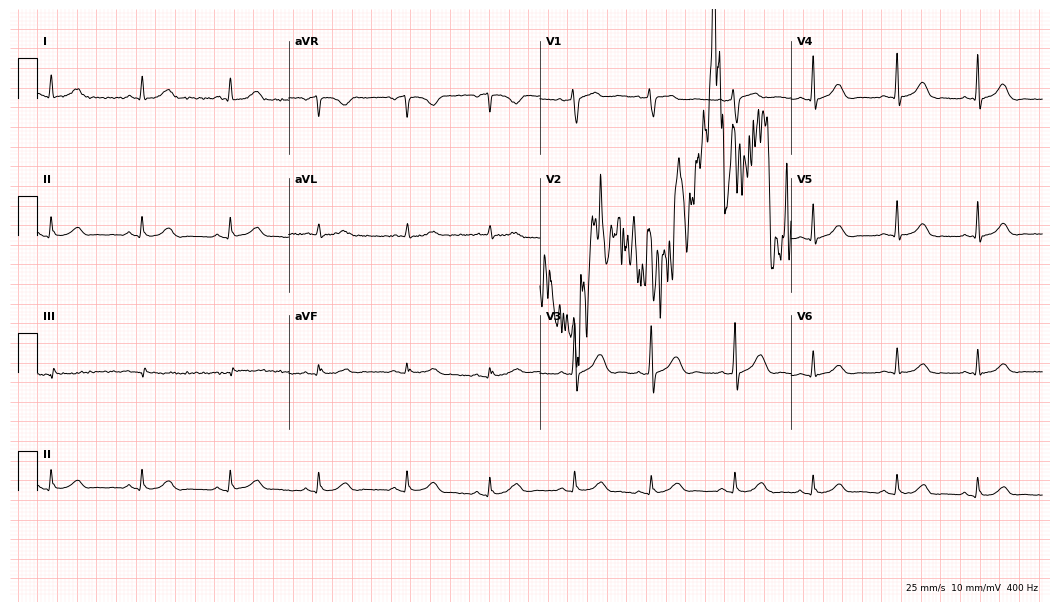
12-lead ECG from a 52-year-old woman. No first-degree AV block, right bundle branch block (RBBB), left bundle branch block (LBBB), sinus bradycardia, atrial fibrillation (AF) or sinus tachycardia recorded for this tracing. Only these six findings were labelled.